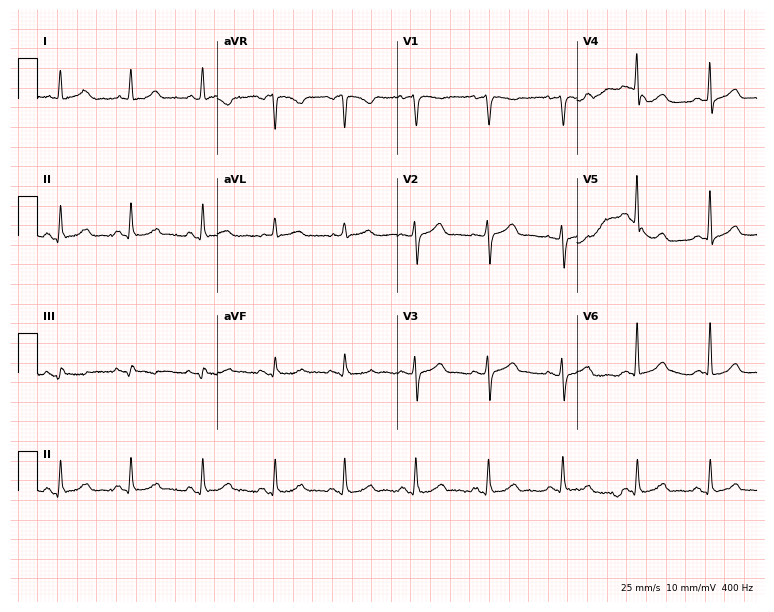
Electrocardiogram (7.3-second recording at 400 Hz), a 46-year-old female. Overall reading on record: normal ECG.